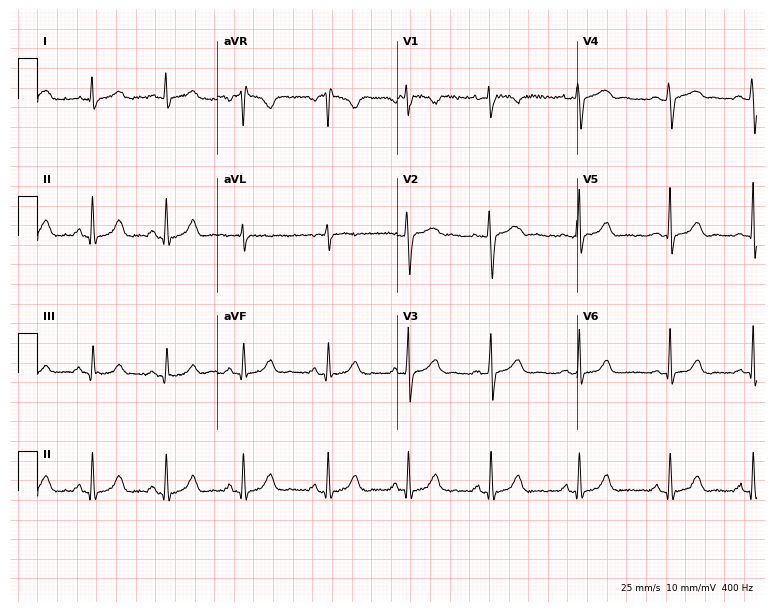
Electrocardiogram, a 27-year-old female. Overall reading on record: normal ECG.